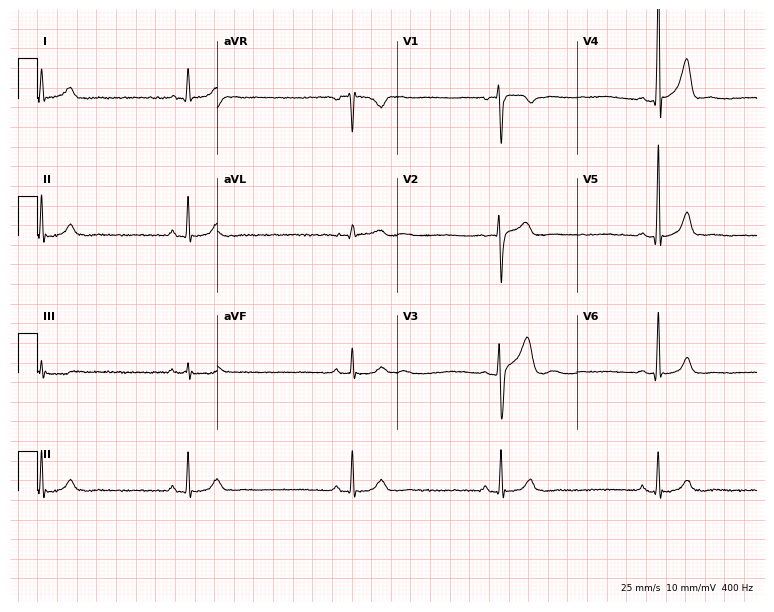
Resting 12-lead electrocardiogram. Patient: a 30-year-old male. The tracing shows sinus bradycardia (a sinus rate of 50 beats per minute or less).